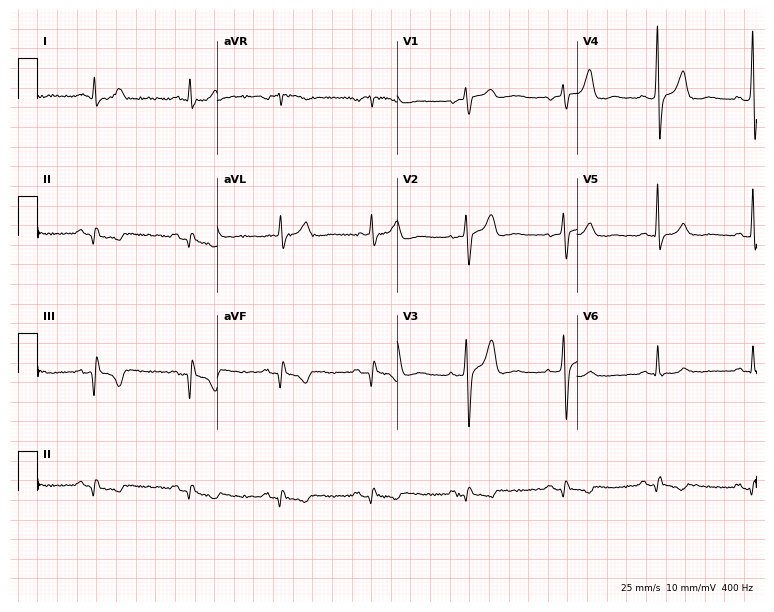
Standard 12-lead ECG recorded from a male, 71 years old (7.3-second recording at 400 Hz). None of these six findings is recorded: first-degree AV block, right bundle branch block, left bundle branch block, sinus bradycardia, atrial fibrillation, sinus tachycardia.